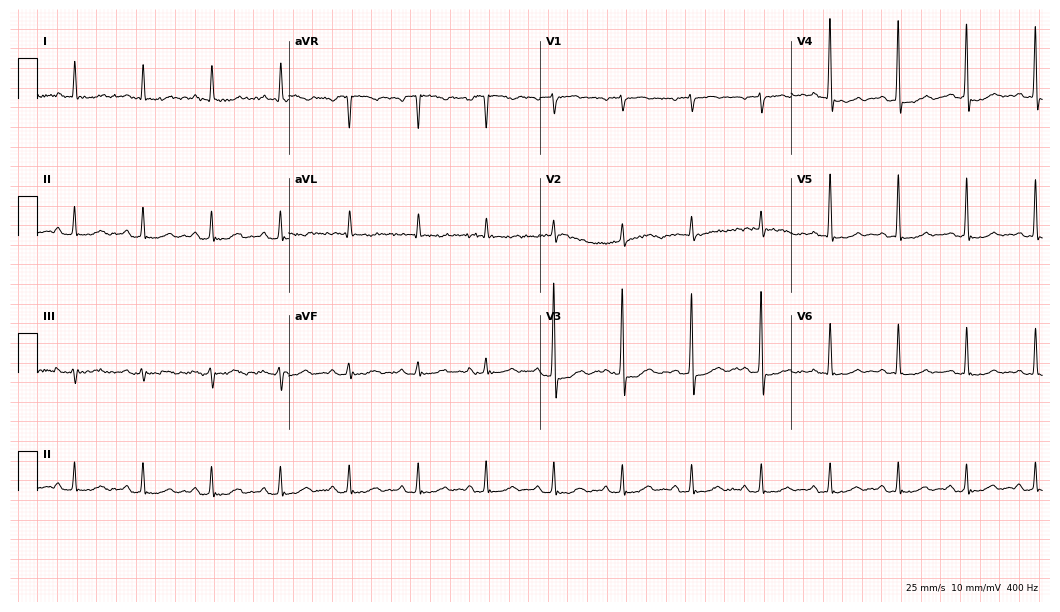
ECG — a 74-year-old woman. Screened for six findings — first-degree AV block, right bundle branch block (RBBB), left bundle branch block (LBBB), sinus bradycardia, atrial fibrillation (AF), sinus tachycardia — none is recorded. Only these six findings were labelled.